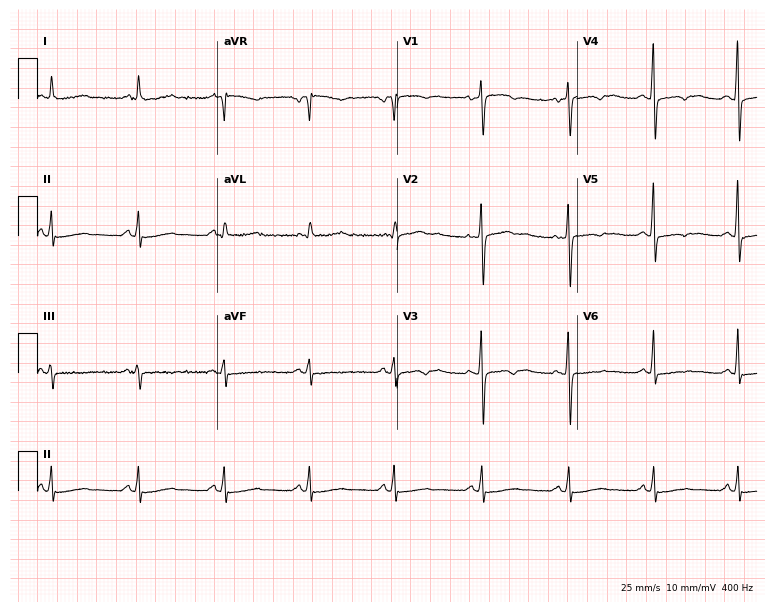
12-lead ECG from a female, 61 years old (7.3-second recording at 400 Hz). No first-degree AV block, right bundle branch block, left bundle branch block, sinus bradycardia, atrial fibrillation or sinus tachycardia recorded for this tracing.